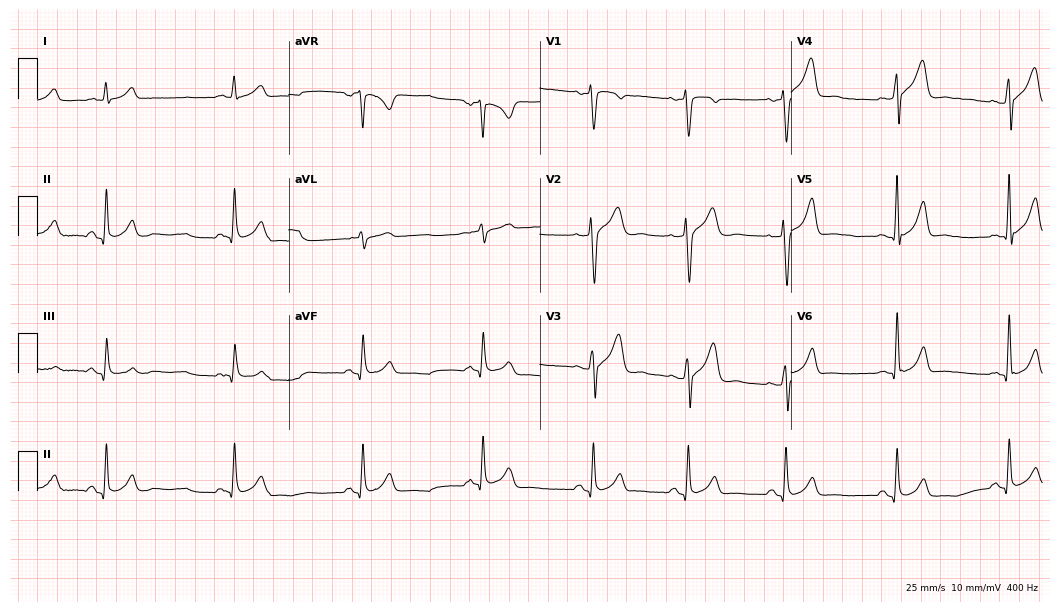
12-lead ECG from a male, 26 years old. Labelled as a normal ECG.